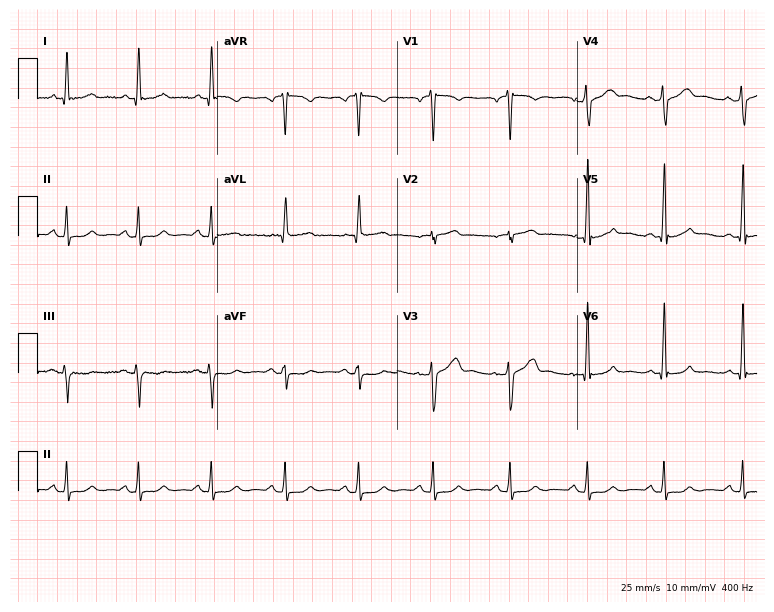
12-lead ECG from a 58-year-old male patient (7.3-second recording at 400 Hz). No first-degree AV block, right bundle branch block (RBBB), left bundle branch block (LBBB), sinus bradycardia, atrial fibrillation (AF) or sinus tachycardia recorded for this tracing. Only these six findings were labelled.